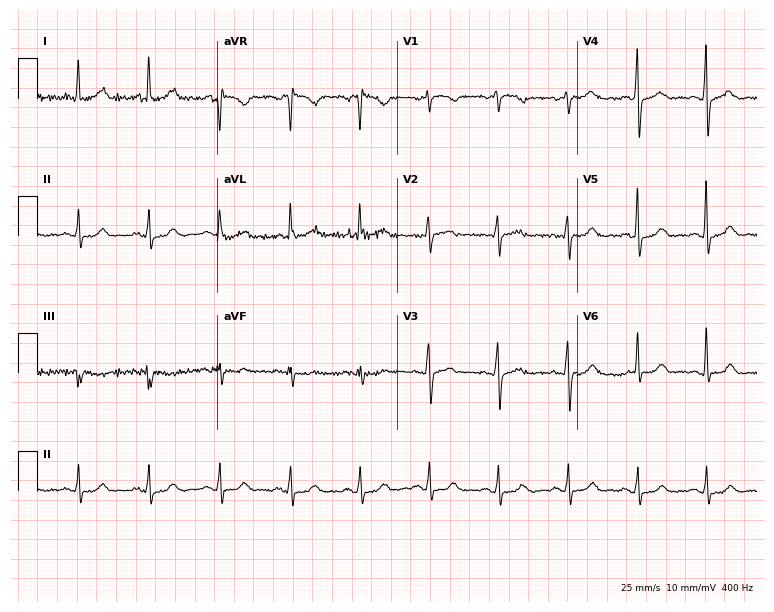
Electrocardiogram (7.3-second recording at 400 Hz), a 59-year-old woman. Of the six screened findings (first-degree AV block, right bundle branch block, left bundle branch block, sinus bradycardia, atrial fibrillation, sinus tachycardia), none is recorded. Only these six findings were labelled.